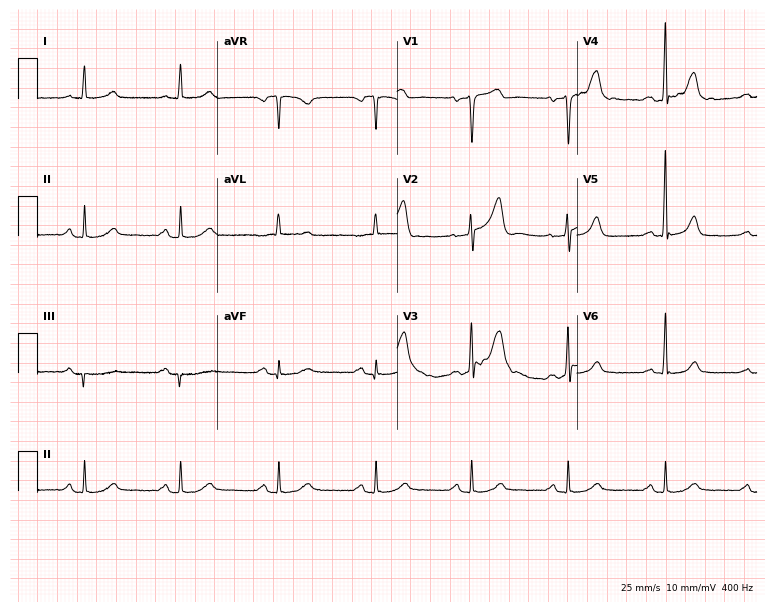
Standard 12-lead ECG recorded from an 80-year-old male (7.3-second recording at 400 Hz). Read as a normal ECG.